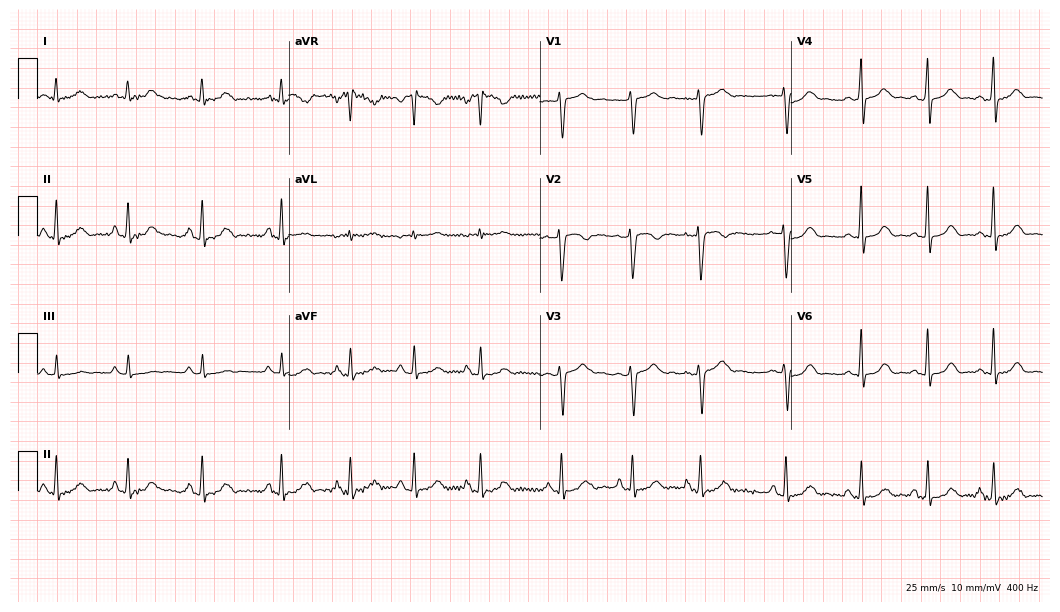
12-lead ECG from a female, 24 years old (10.2-second recording at 400 Hz). Recorded interpretation: within normal limits.